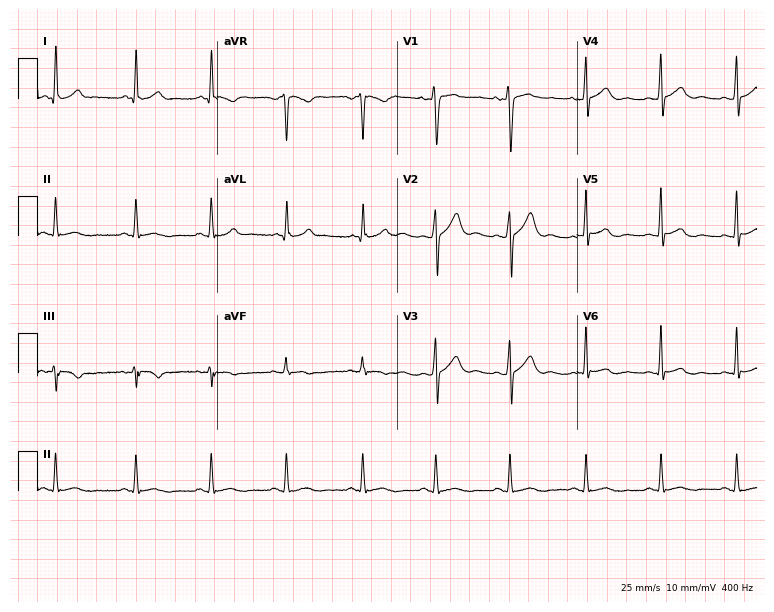
12-lead ECG from a male patient, 31 years old. Recorded interpretation: within normal limits.